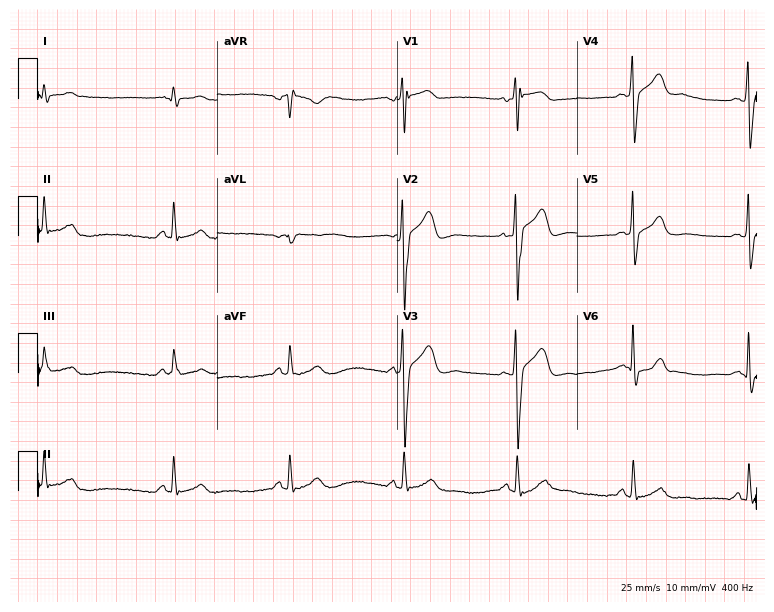
12-lead ECG from a male, 36 years old (7.3-second recording at 400 Hz). No first-degree AV block, right bundle branch block, left bundle branch block, sinus bradycardia, atrial fibrillation or sinus tachycardia recorded for this tracing. Only these six findings were labelled.